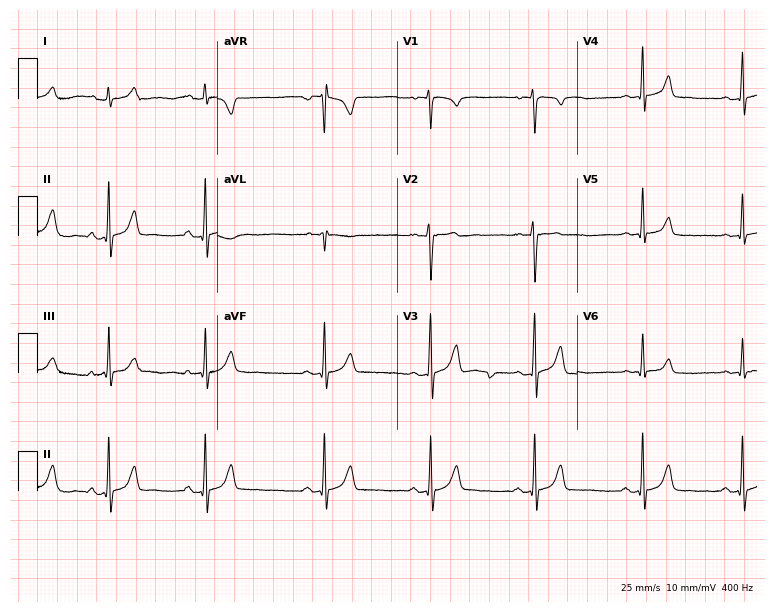
Resting 12-lead electrocardiogram (7.3-second recording at 400 Hz). Patient: a male, 18 years old. Read as a normal ECG.